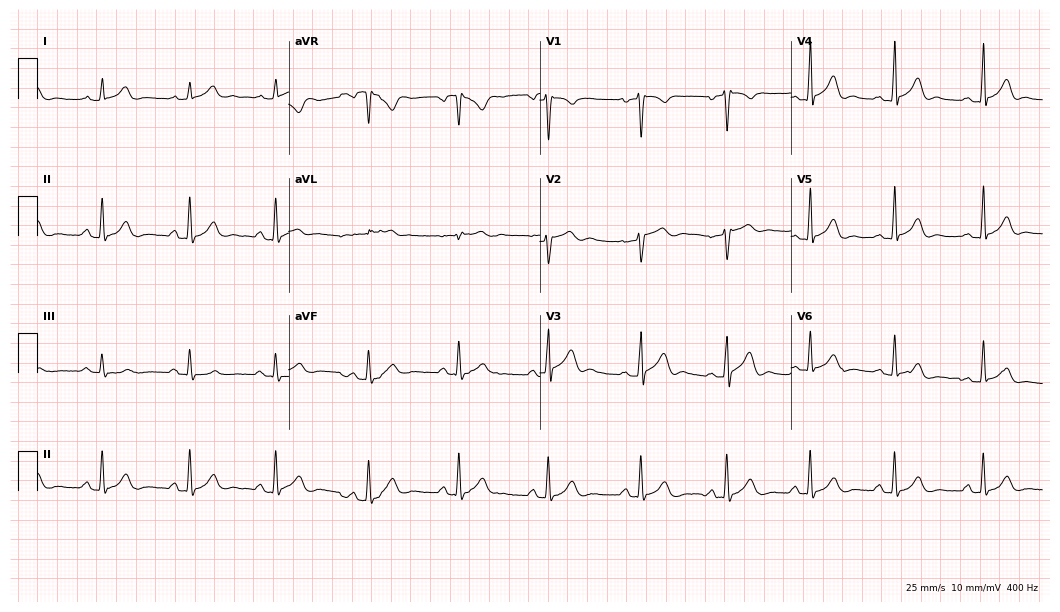
12-lead ECG from a female patient, 28 years old (10.2-second recording at 400 Hz). No first-degree AV block, right bundle branch block, left bundle branch block, sinus bradycardia, atrial fibrillation or sinus tachycardia recorded for this tracing.